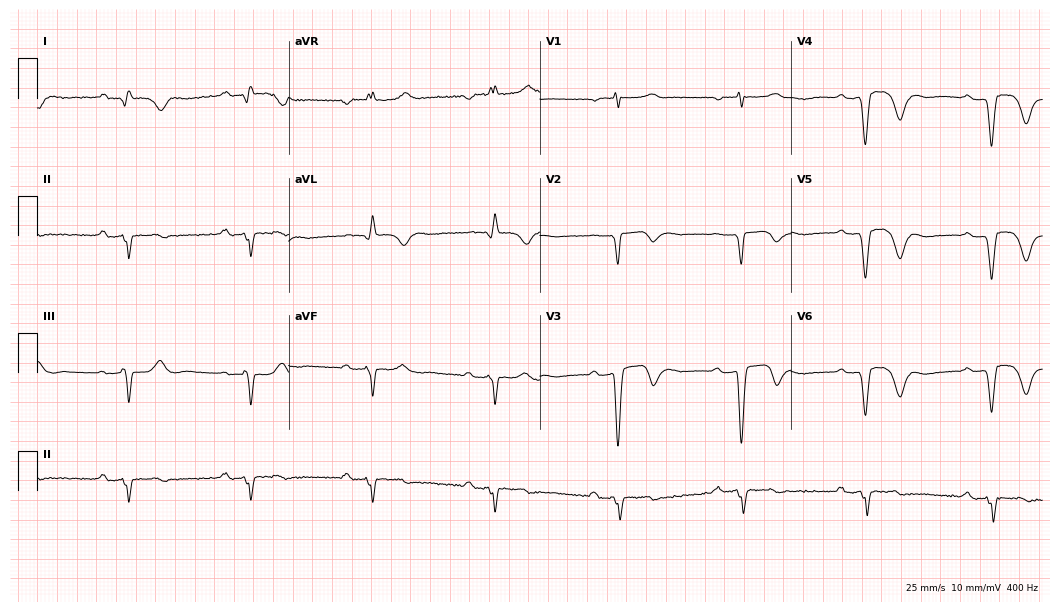
12-lead ECG (10.2-second recording at 400 Hz) from a male patient, 73 years old. Screened for six findings — first-degree AV block, right bundle branch block, left bundle branch block, sinus bradycardia, atrial fibrillation, sinus tachycardia — none is recorded. Findings outside these six are not listed.